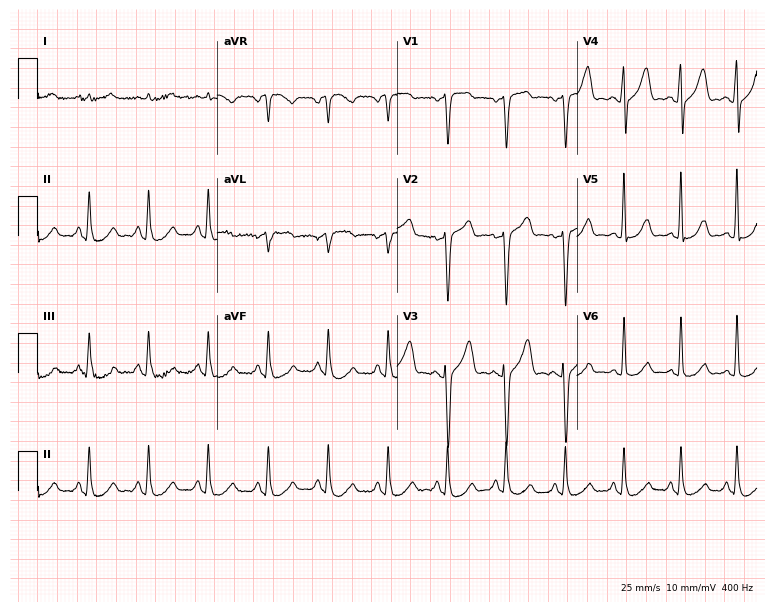
12-lead ECG (7.3-second recording at 400 Hz) from a 45-year-old man. Findings include sinus tachycardia (a sinus rate of 100 beats per minute or more).